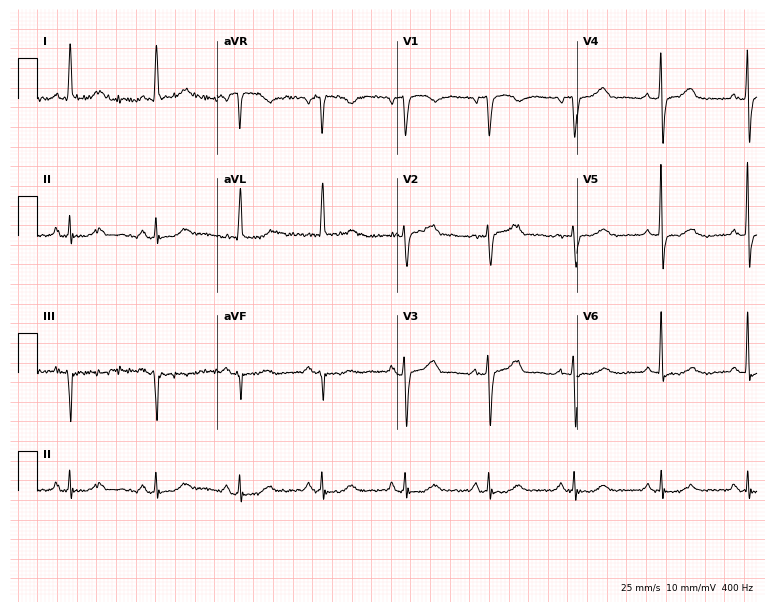
12-lead ECG from a man, 74 years old. Recorded interpretation: within normal limits.